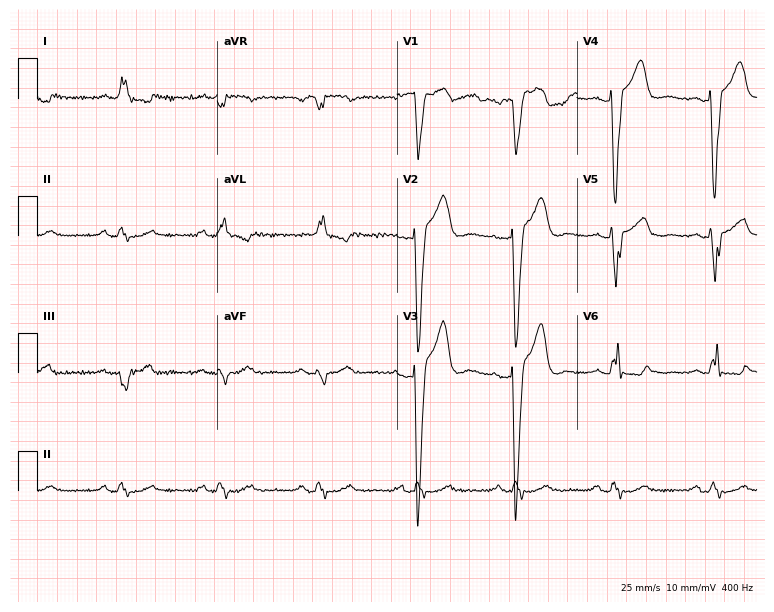
Standard 12-lead ECG recorded from a 69-year-old male patient. The tracing shows left bundle branch block.